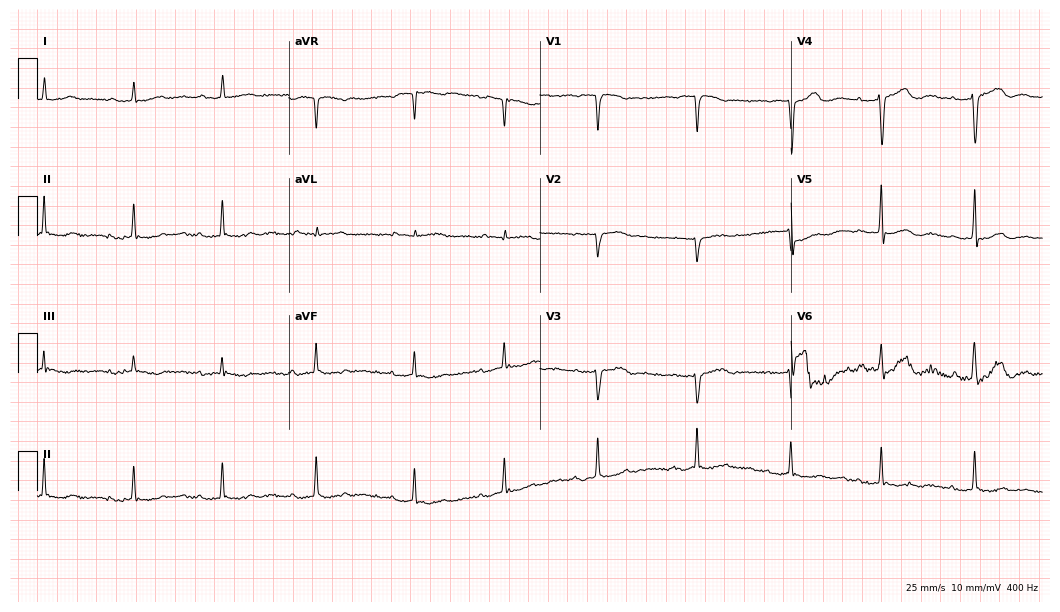
ECG — a female, 72 years old. Findings include first-degree AV block.